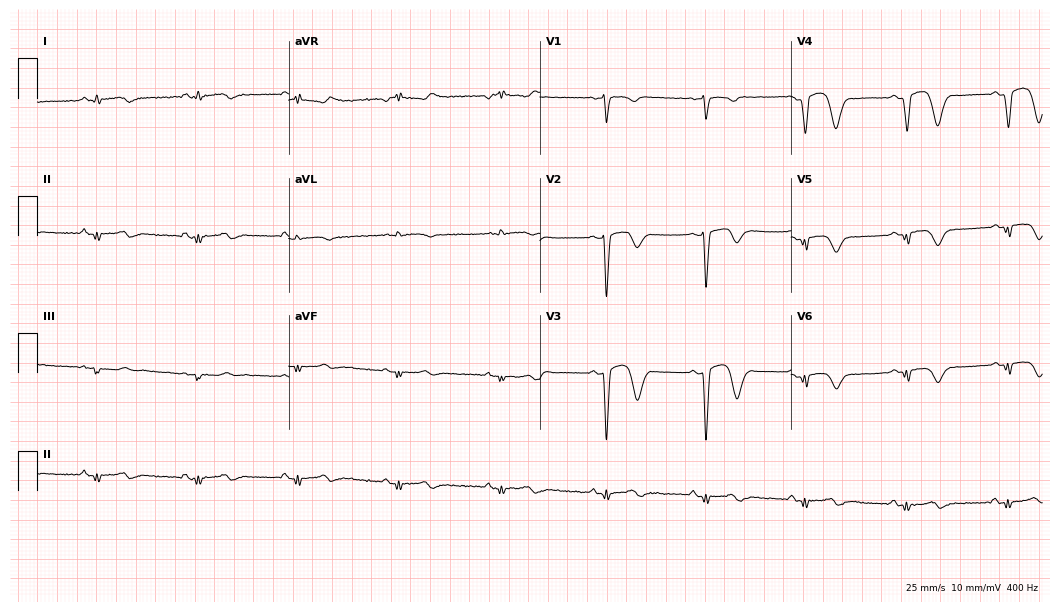
Electrocardiogram, a woman, 41 years old. Of the six screened findings (first-degree AV block, right bundle branch block, left bundle branch block, sinus bradycardia, atrial fibrillation, sinus tachycardia), none is recorded. Only these six findings were labelled.